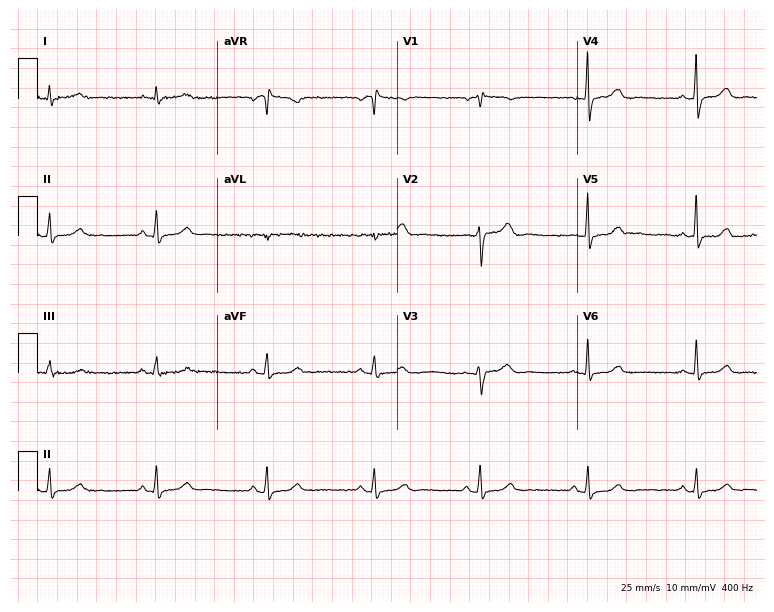
Standard 12-lead ECG recorded from a 60-year-old female patient (7.3-second recording at 400 Hz). Read as a normal ECG.